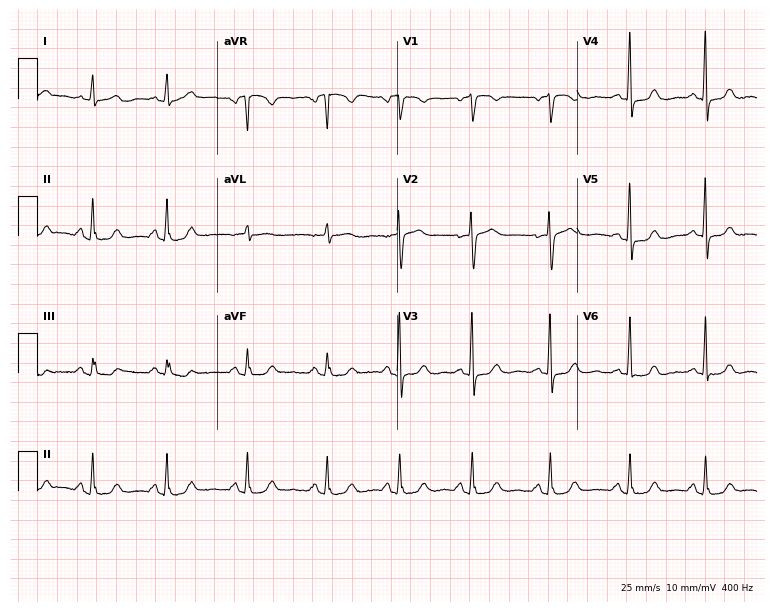
Electrocardiogram, a 59-year-old woman. Of the six screened findings (first-degree AV block, right bundle branch block (RBBB), left bundle branch block (LBBB), sinus bradycardia, atrial fibrillation (AF), sinus tachycardia), none is recorded. Findings outside these six are not listed.